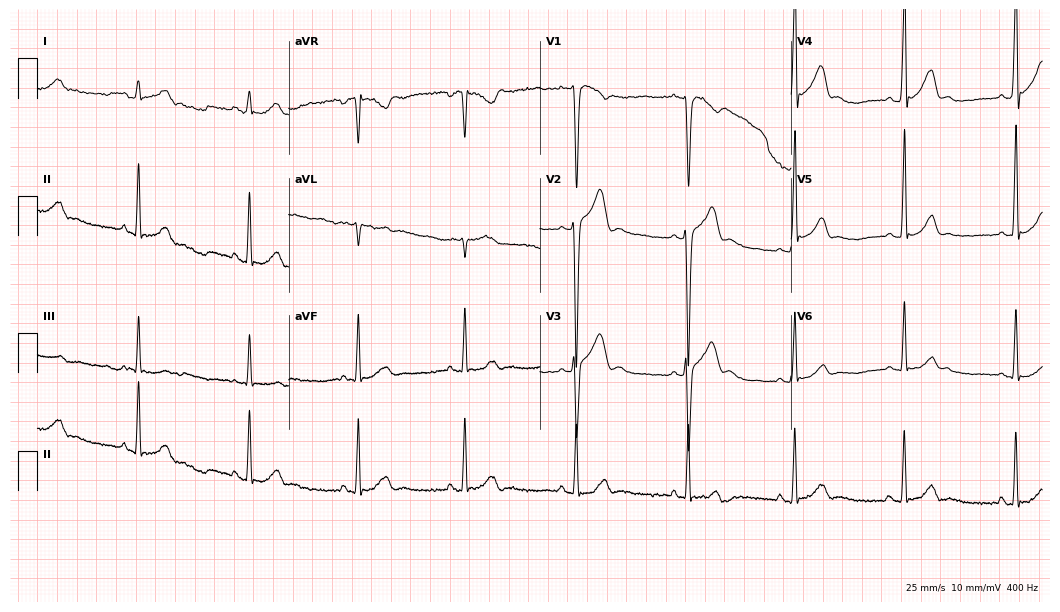
Electrocardiogram, a 25-year-old male. Of the six screened findings (first-degree AV block, right bundle branch block, left bundle branch block, sinus bradycardia, atrial fibrillation, sinus tachycardia), none is recorded. Other findings, if any, are not listed.